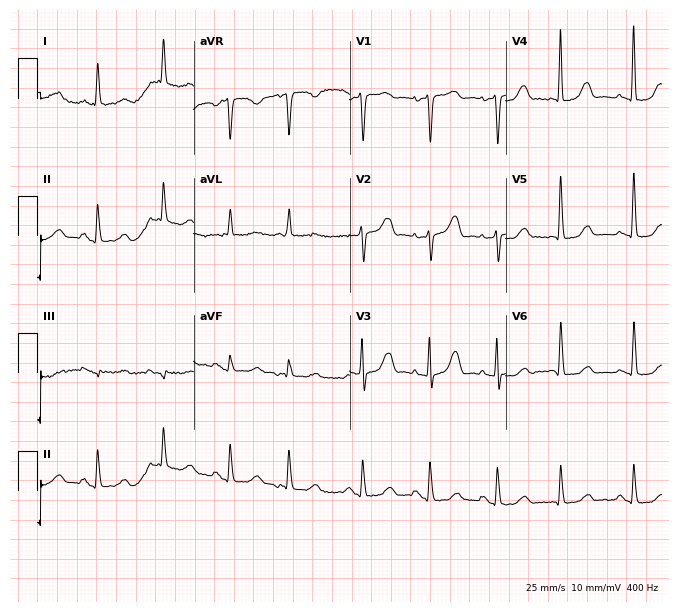
ECG (6.4-second recording at 400 Hz) — a 72-year-old female patient. Screened for six findings — first-degree AV block, right bundle branch block, left bundle branch block, sinus bradycardia, atrial fibrillation, sinus tachycardia — none is recorded.